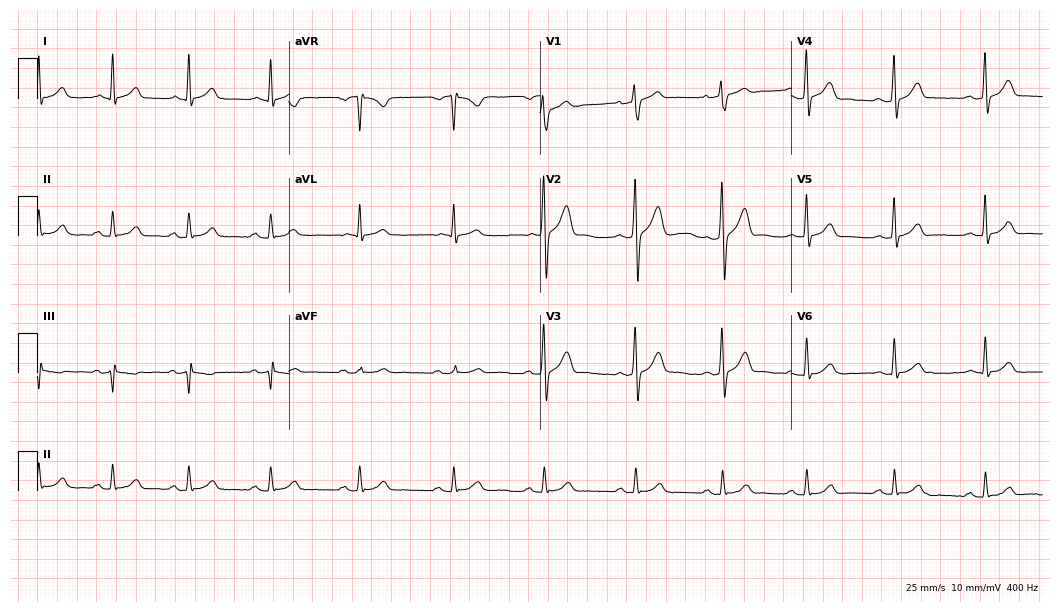
Standard 12-lead ECG recorded from a man, 43 years old (10.2-second recording at 400 Hz). Read as a normal ECG.